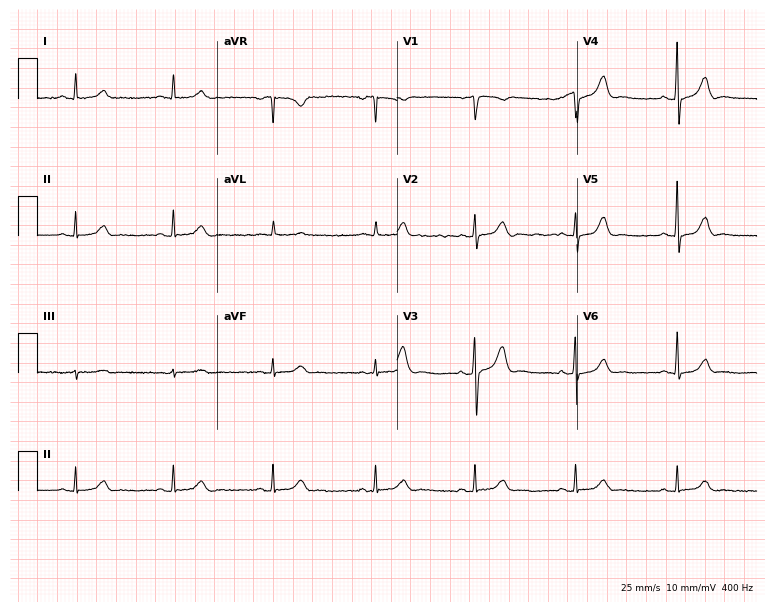
Electrocardiogram, a male, 62 years old. Overall reading on record: normal ECG.